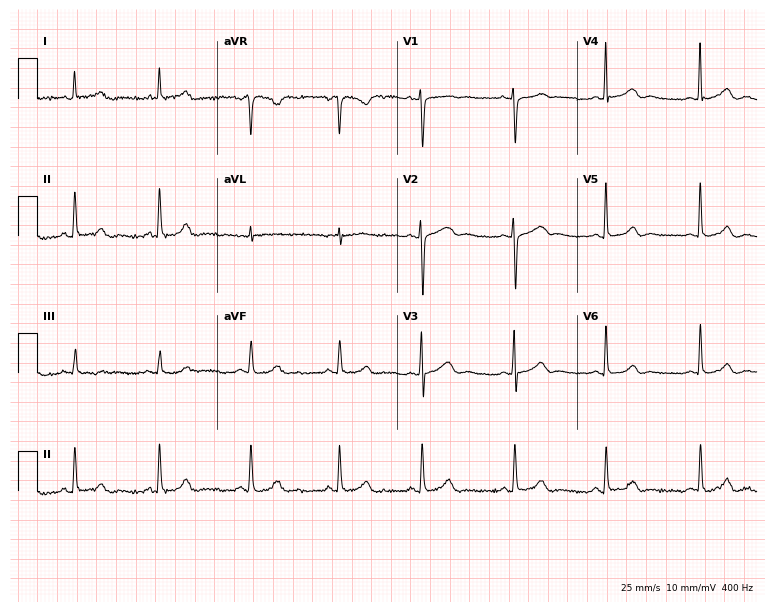
12-lead ECG from a female, 37 years old. Labelled as a normal ECG.